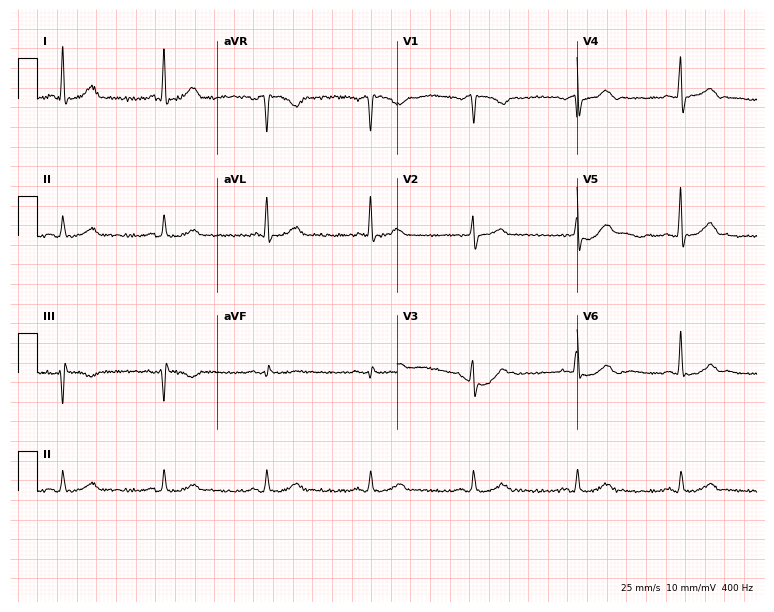
Electrocardiogram, a 53-year-old man. Overall reading on record: normal ECG.